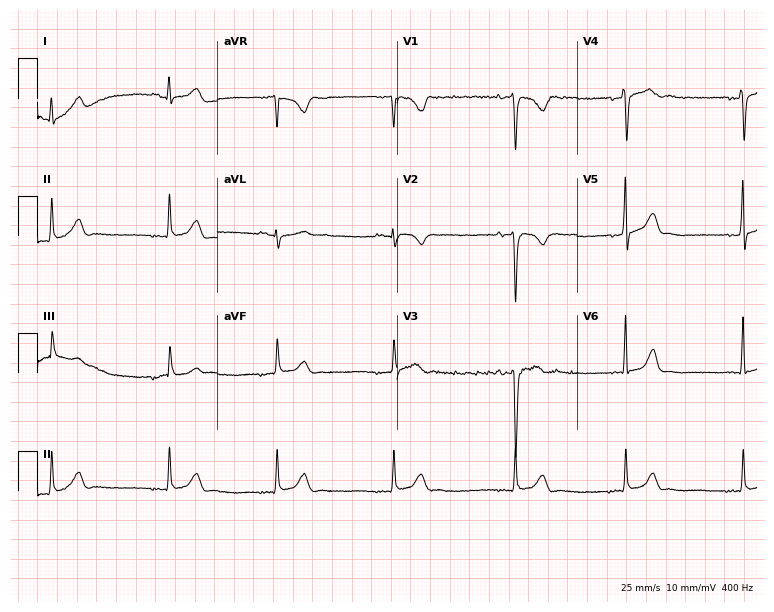
Standard 12-lead ECG recorded from a 23-year-old male patient (7.3-second recording at 400 Hz). None of these six findings is recorded: first-degree AV block, right bundle branch block, left bundle branch block, sinus bradycardia, atrial fibrillation, sinus tachycardia.